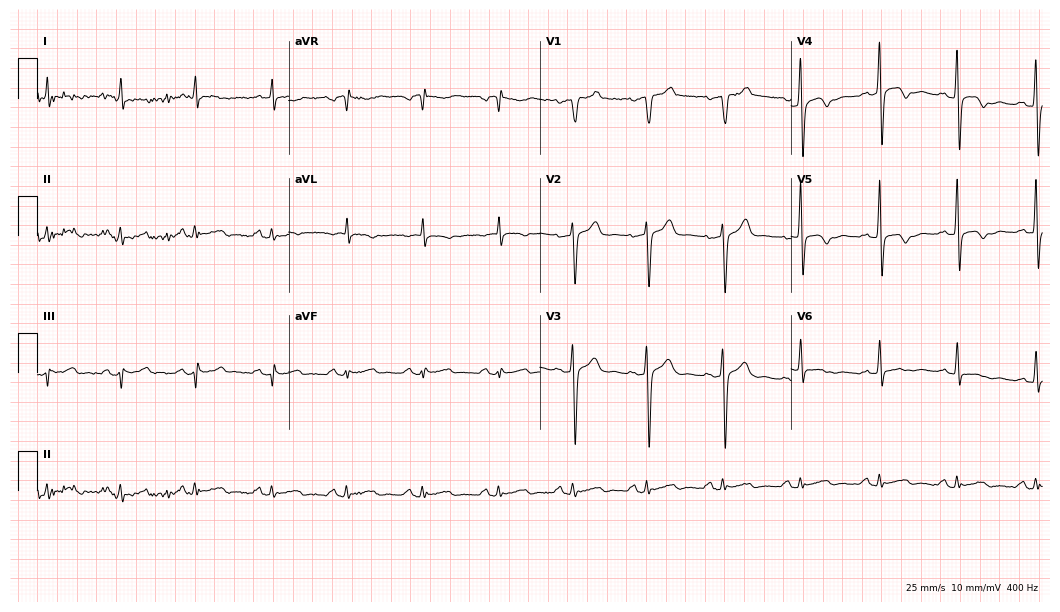
12-lead ECG from a man, 47 years old. No first-degree AV block, right bundle branch block (RBBB), left bundle branch block (LBBB), sinus bradycardia, atrial fibrillation (AF) or sinus tachycardia recorded for this tracing. Other findings, if any, are not listed.